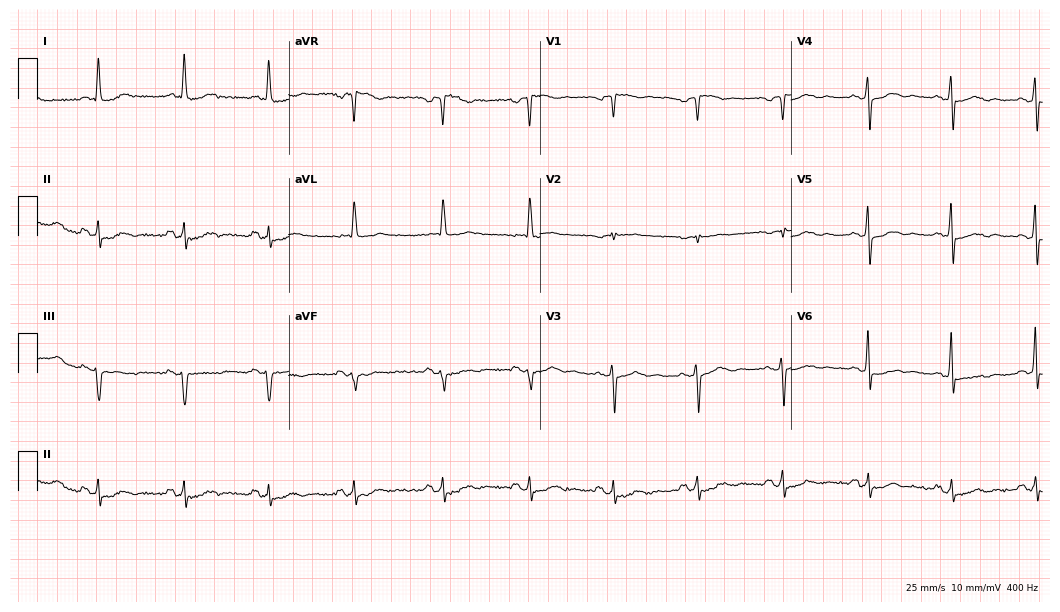
Standard 12-lead ECG recorded from a female, 78 years old (10.2-second recording at 400 Hz). None of these six findings is recorded: first-degree AV block, right bundle branch block, left bundle branch block, sinus bradycardia, atrial fibrillation, sinus tachycardia.